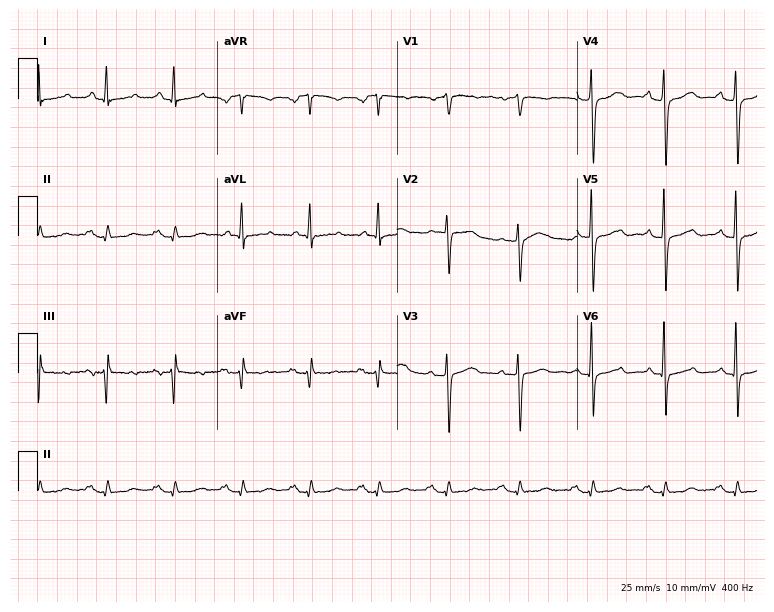
12-lead ECG from a woman, 76 years old (7.3-second recording at 400 Hz). No first-degree AV block, right bundle branch block, left bundle branch block, sinus bradycardia, atrial fibrillation or sinus tachycardia recorded for this tracing.